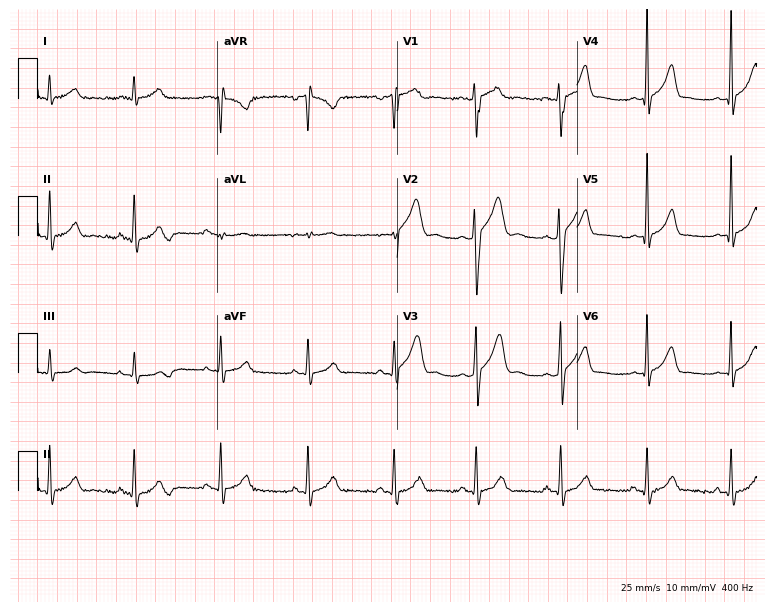
ECG (7.3-second recording at 400 Hz) — a male, 25 years old. Labelled as a normal ECG.